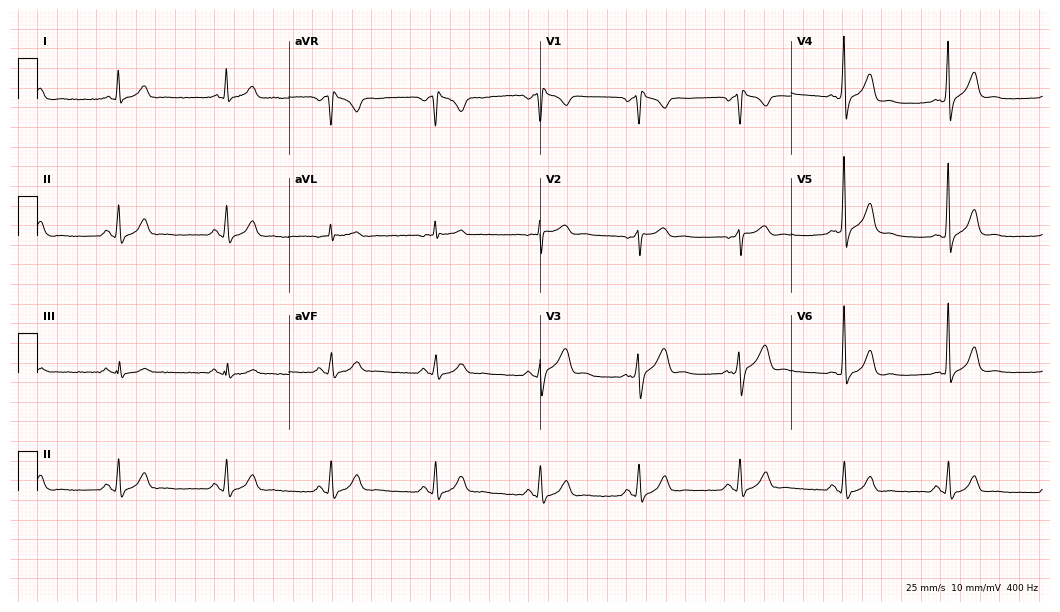
Standard 12-lead ECG recorded from a 47-year-old male patient (10.2-second recording at 400 Hz). None of these six findings is recorded: first-degree AV block, right bundle branch block, left bundle branch block, sinus bradycardia, atrial fibrillation, sinus tachycardia. Only these six findings were labelled.